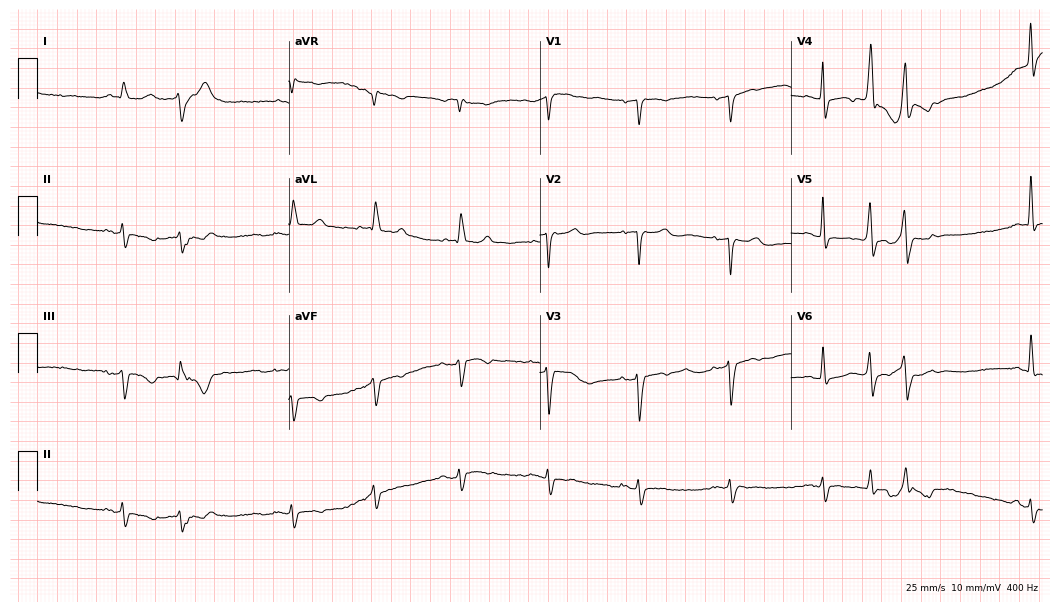
Electrocardiogram (10.2-second recording at 400 Hz), an 81-year-old woman. Of the six screened findings (first-degree AV block, right bundle branch block, left bundle branch block, sinus bradycardia, atrial fibrillation, sinus tachycardia), none is recorded. Only these six findings were labelled.